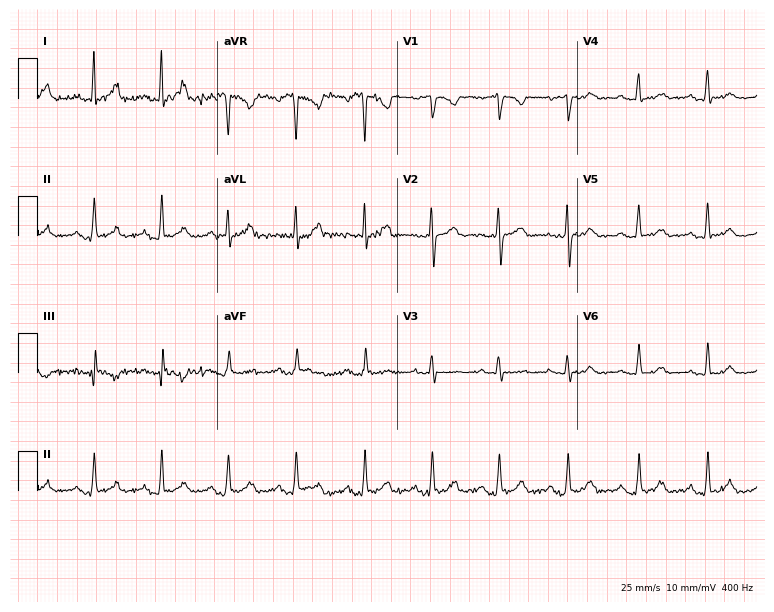
Electrocardiogram, a female, 41 years old. Overall reading on record: normal ECG.